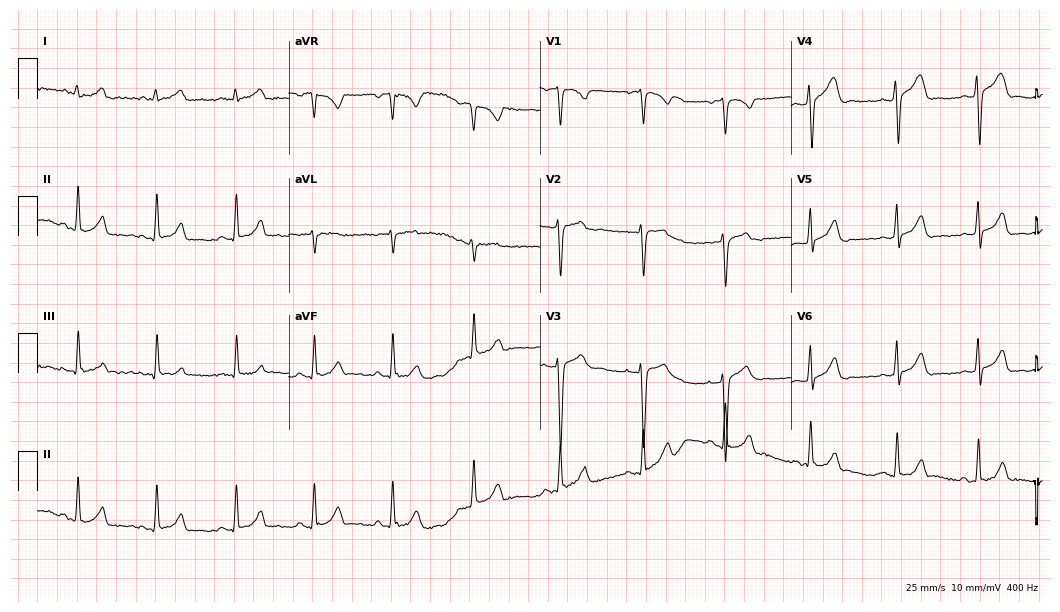
12-lead ECG (10.2-second recording at 400 Hz) from a male, 23 years old. Labelled as a normal ECG.